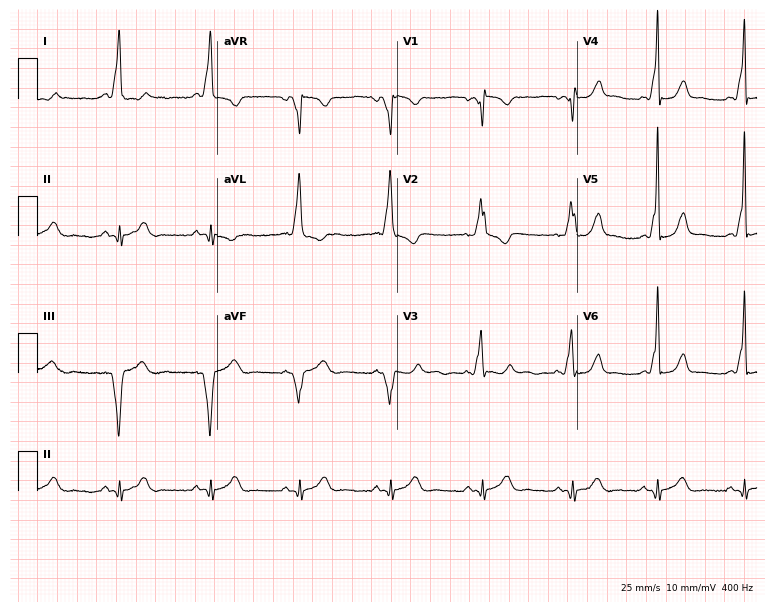
12-lead ECG from a 37-year-old female. Screened for six findings — first-degree AV block, right bundle branch block, left bundle branch block, sinus bradycardia, atrial fibrillation, sinus tachycardia — none is recorded.